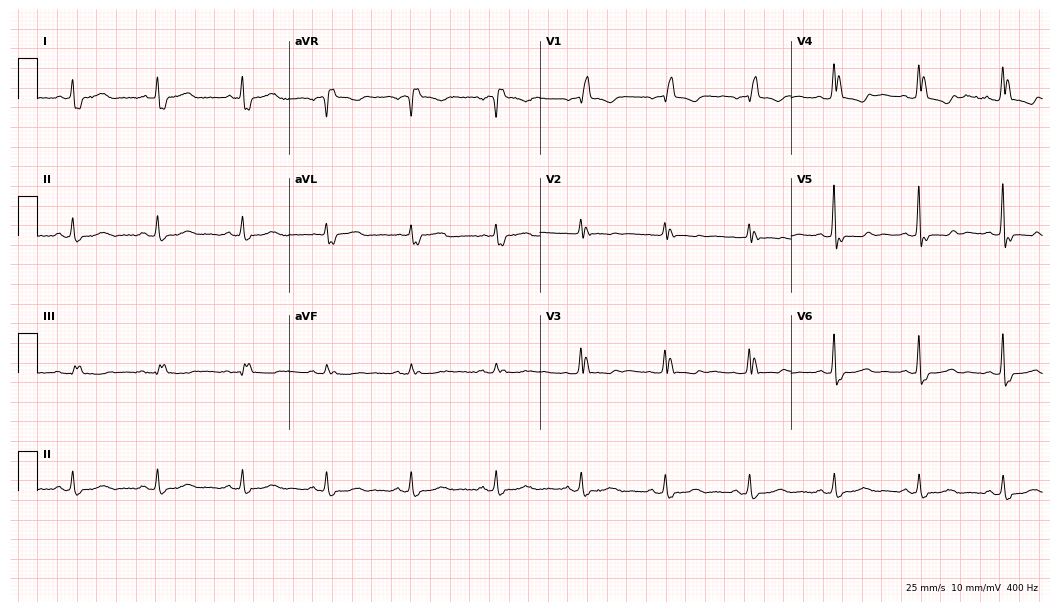
Standard 12-lead ECG recorded from a female patient, 79 years old (10.2-second recording at 400 Hz). The tracing shows right bundle branch block (RBBB).